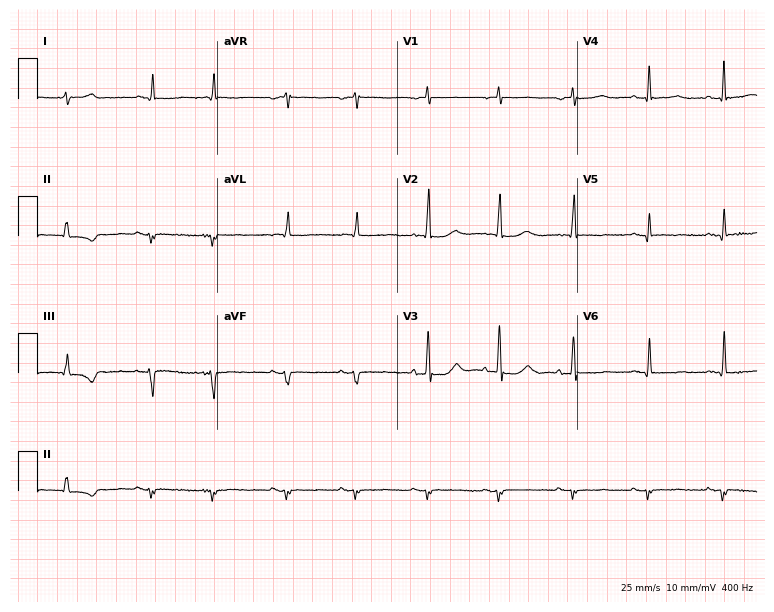
12-lead ECG (7.3-second recording at 400 Hz) from a male, 79 years old. Screened for six findings — first-degree AV block, right bundle branch block (RBBB), left bundle branch block (LBBB), sinus bradycardia, atrial fibrillation (AF), sinus tachycardia — none is recorded.